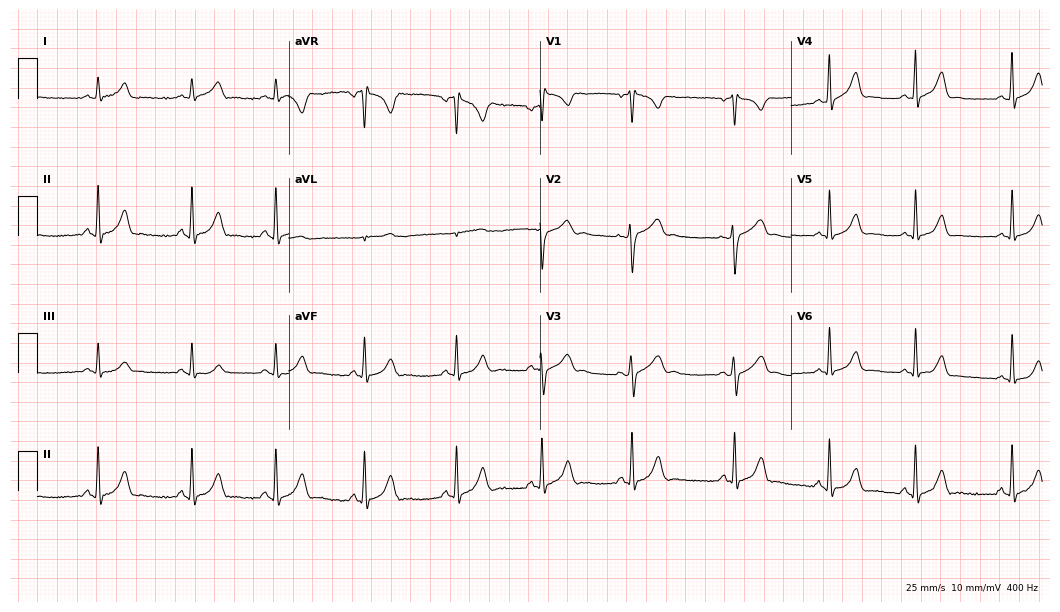
Standard 12-lead ECG recorded from a 24-year-old female. Read as a normal ECG.